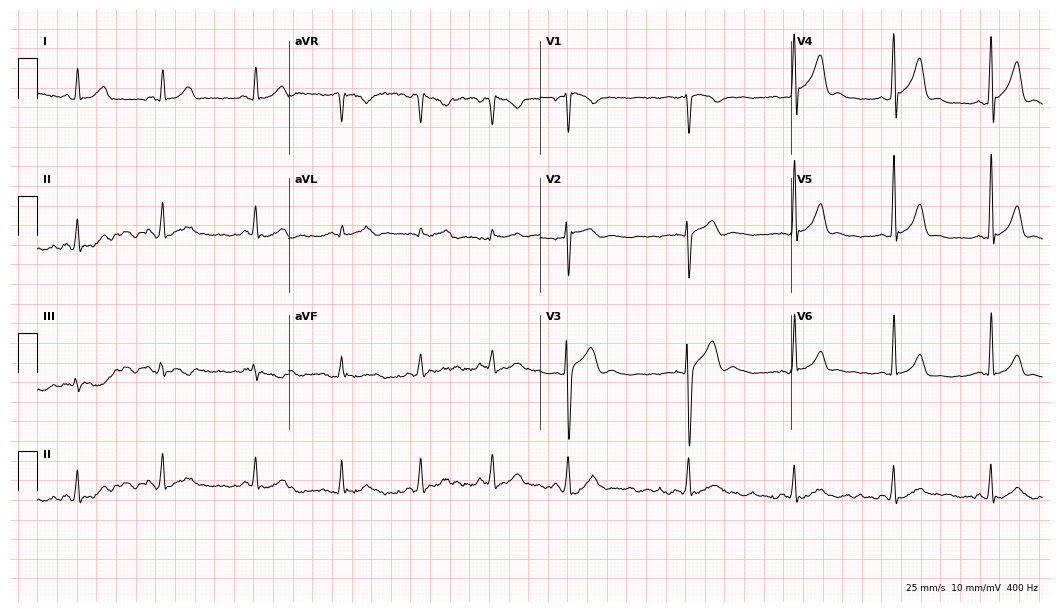
Standard 12-lead ECG recorded from a 22-year-old man. None of these six findings is recorded: first-degree AV block, right bundle branch block (RBBB), left bundle branch block (LBBB), sinus bradycardia, atrial fibrillation (AF), sinus tachycardia. Other findings, if any, are not listed.